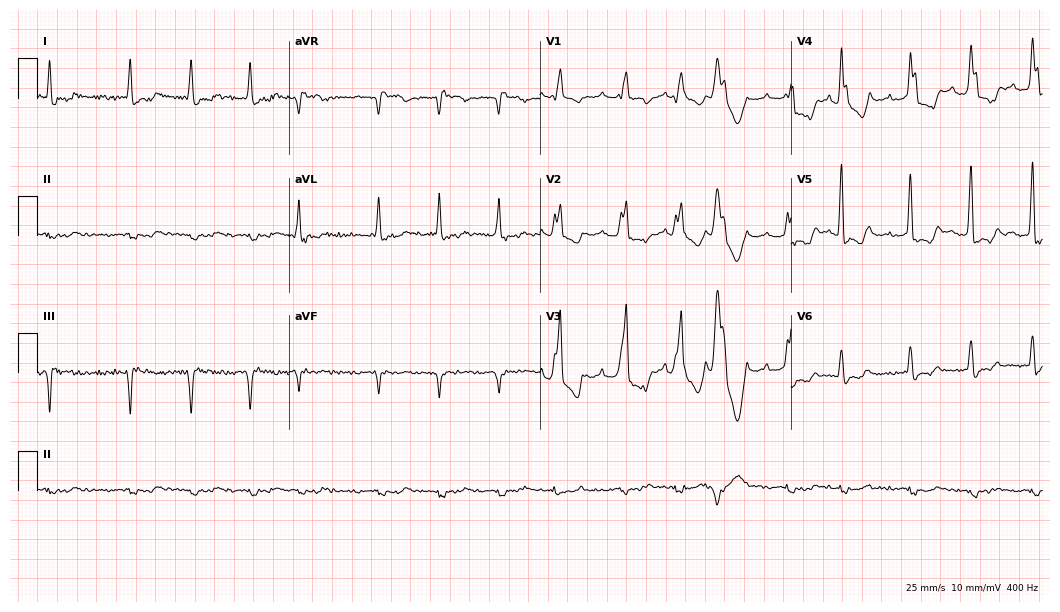
ECG — a 74-year-old male. Screened for six findings — first-degree AV block, right bundle branch block, left bundle branch block, sinus bradycardia, atrial fibrillation, sinus tachycardia — none is recorded.